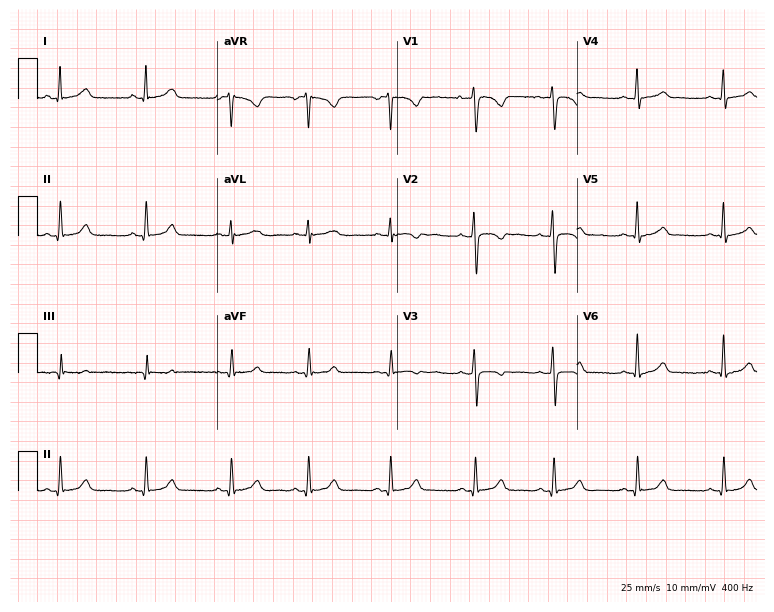
Electrocardiogram (7.3-second recording at 400 Hz), a female, 22 years old. Of the six screened findings (first-degree AV block, right bundle branch block (RBBB), left bundle branch block (LBBB), sinus bradycardia, atrial fibrillation (AF), sinus tachycardia), none is recorded.